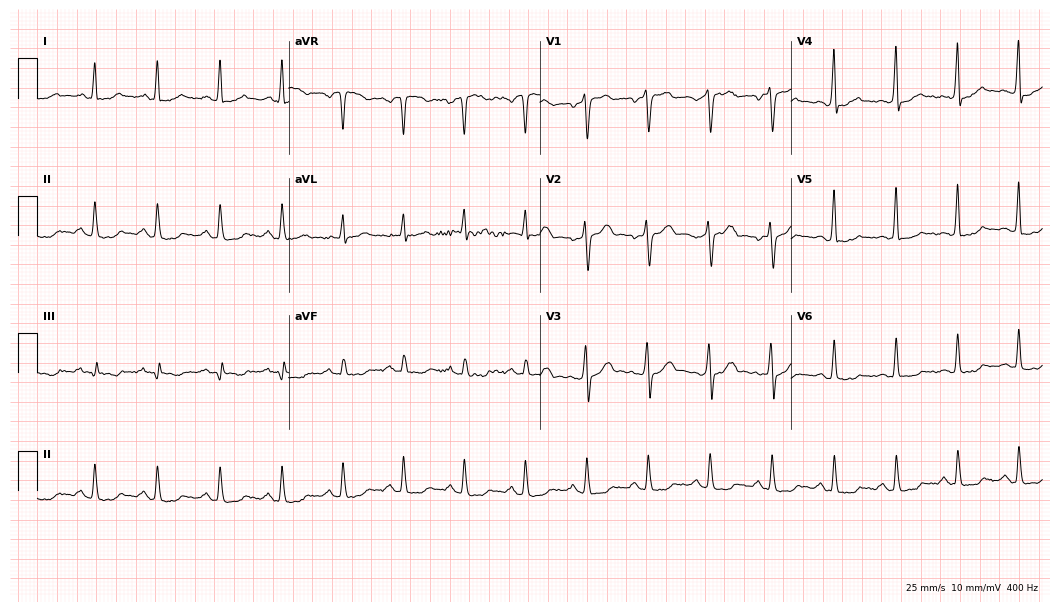
12-lead ECG from a man, 37 years old. No first-degree AV block, right bundle branch block (RBBB), left bundle branch block (LBBB), sinus bradycardia, atrial fibrillation (AF) or sinus tachycardia recorded for this tracing.